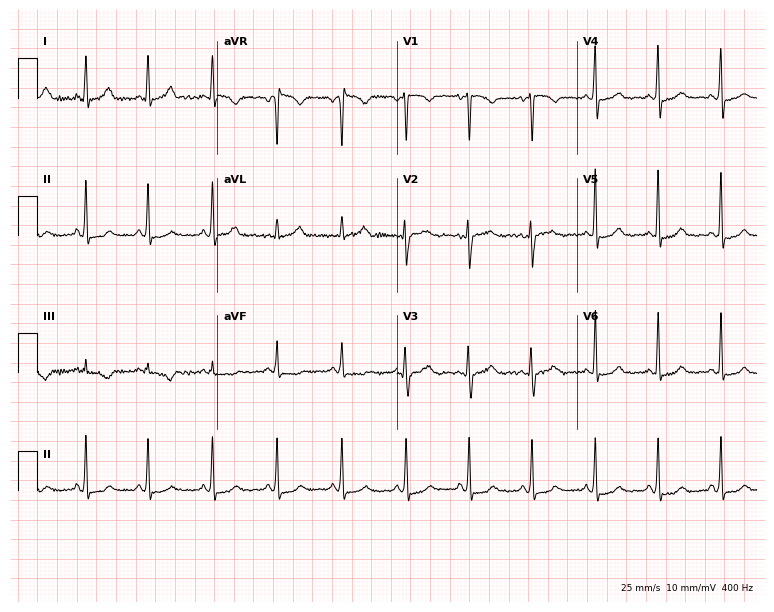
Standard 12-lead ECG recorded from a female, 45 years old. None of these six findings is recorded: first-degree AV block, right bundle branch block (RBBB), left bundle branch block (LBBB), sinus bradycardia, atrial fibrillation (AF), sinus tachycardia. Other findings, if any, are not listed.